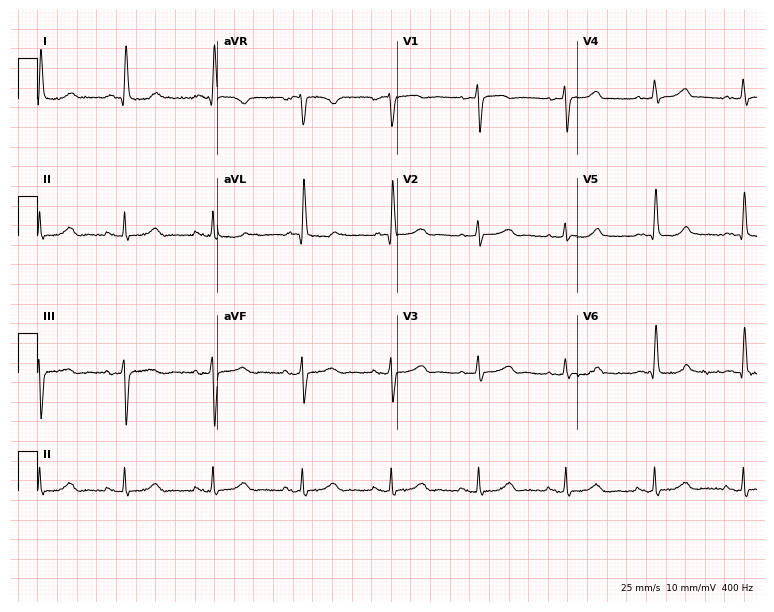
Resting 12-lead electrocardiogram. Patient: a 79-year-old woman. None of these six findings is recorded: first-degree AV block, right bundle branch block (RBBB), left bundle branch block (LBBB), sinus bradycardia, atrial fibrillation (AF), sinus tachycardia. Other findings, if any, are not listed.